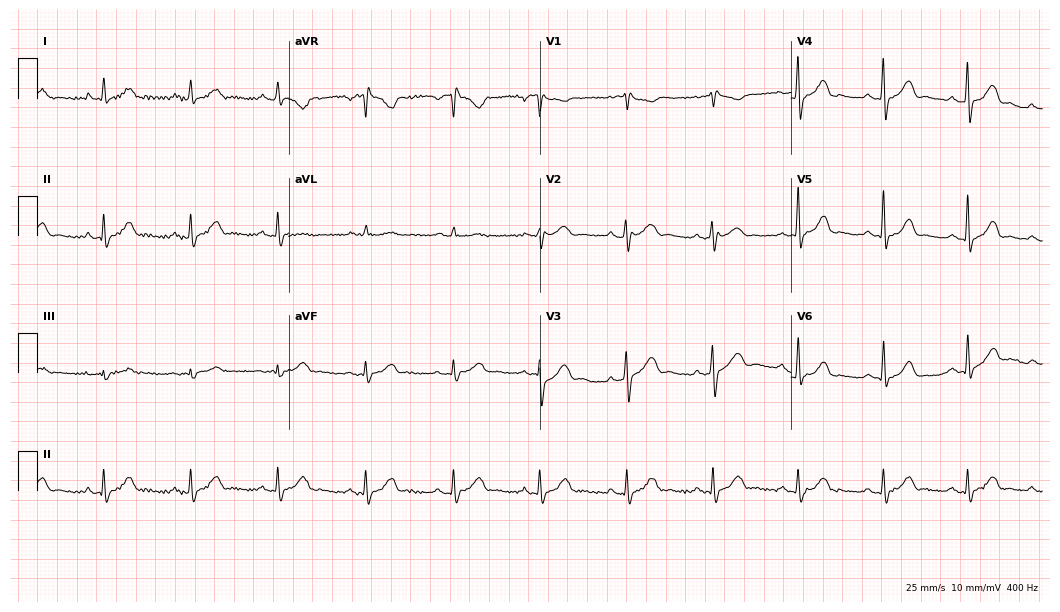
Standard 12-lead ECG recorded from a 60-year-old man (10.2-second recording at 400 Hz). Read as a normal ECG.